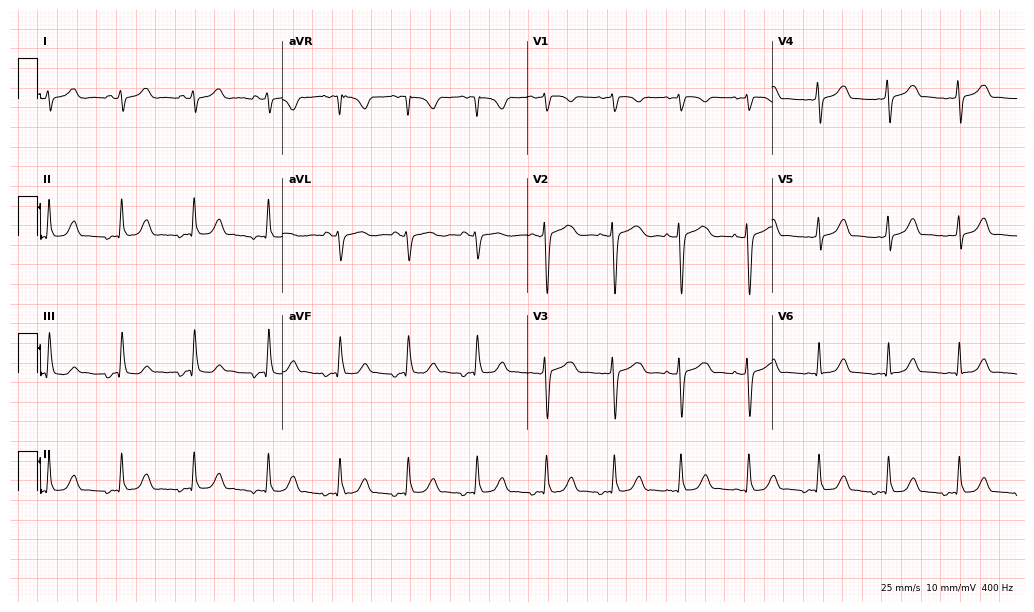
Electrocardiogram (10-second recording at 400 Hz), a 19-year-old female patient. Of the six screened findings (first-degree AV block, right bundle branch block (RBBB), left bundle branch block (LBBB), sinus bradycardia, atrial fibrillation (AF), sinus tachycardia), none is recorded.